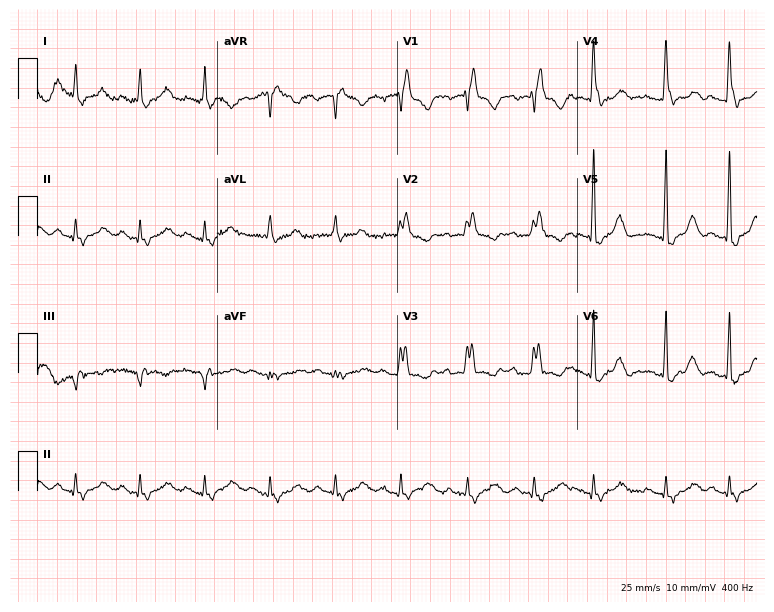
Standard 12-lead ECG recorded from a woman, 82 years old (7.3-second recording at 400 Hz). The tracing shows right bundle branch block (RBBB).